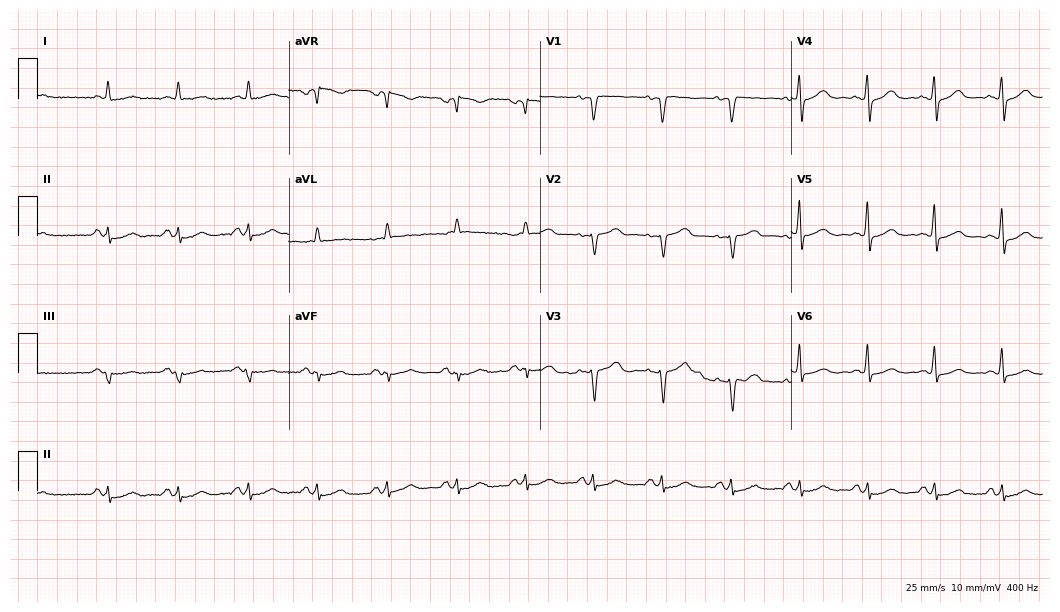
Standard 12-lead ECG recorded from a 75-year-old male (10.2-second recording at 400 Hz). None of these six findings is recorded: first-degree AV block, right bundle branch block, left bundle branch block, sinus bradycardia, atrial fibrillation, sinus tachycardia. Only these six findings were labelled.